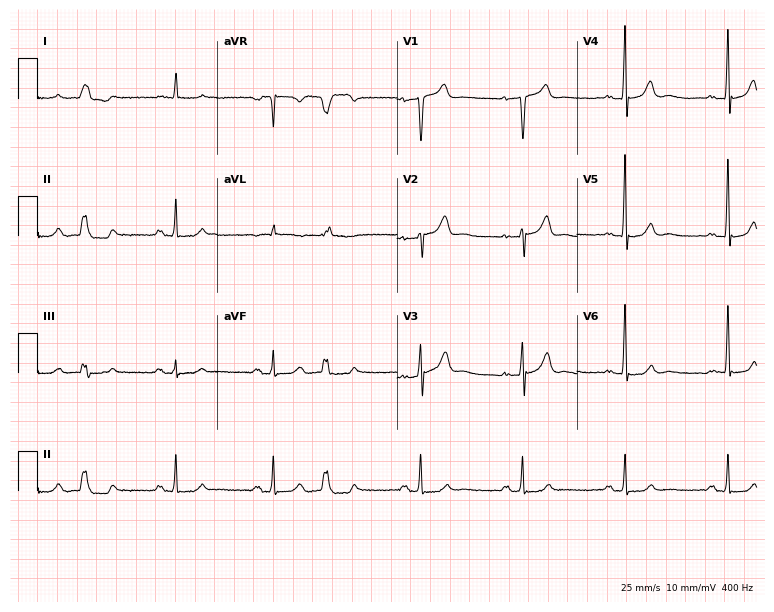
Standard 12-lead ECG recorded from a man, 84 years old (7.3-second recording at 400 Hz). None of these six findings is recorded: first-degree AV block, right bundle branch block (RBBB), left bundle branch block (LBBB), sinus bradycardia, atrial fibrillation (AF), sinus tachycardia. Only these six findings were labelled.